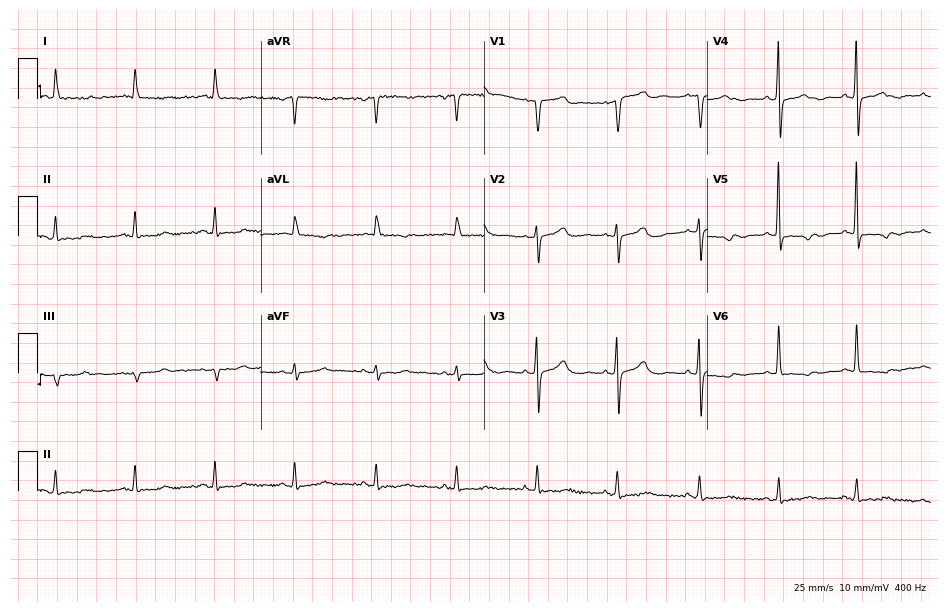
Standard 12-lead ECG recorded from a male patient, 73 years old. None of these six findings is recorded: first-degree AV block, right bundle branch block, left bundle branch block, sinus bradycardia, atrial fibrillation, sinus tachycardia. Only these six findings were labelled.